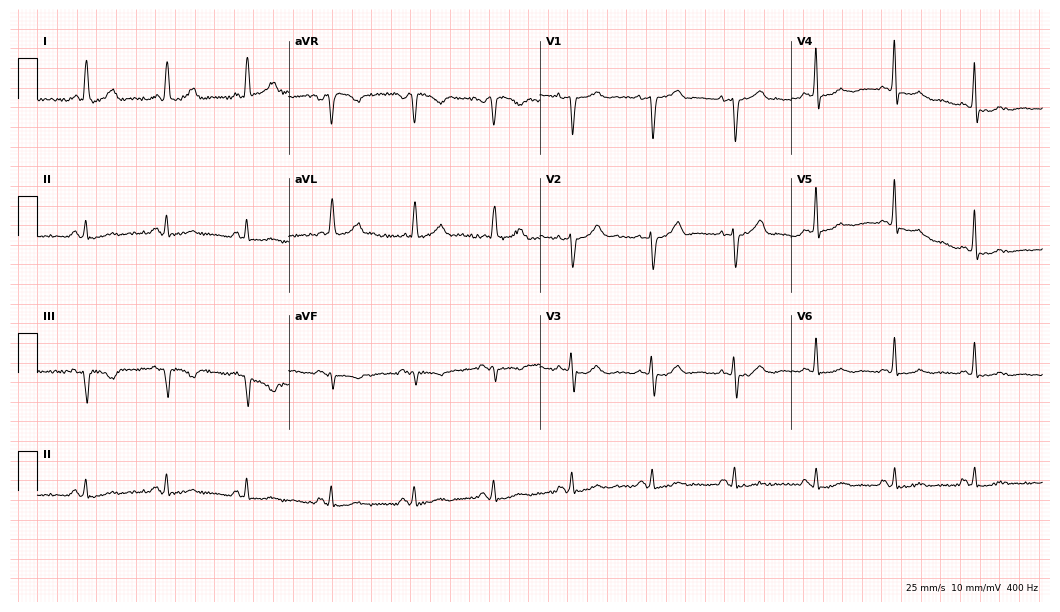
12-lead ECG (10.2-second recording at 400 Hz) from a female patient, 71 years old. Screened for six findings — first-degree AV block, right bundle branch block, left bundle branch block, sinus bradycardia, atrial fibrillation, sinus tachycardia — none is recorded.